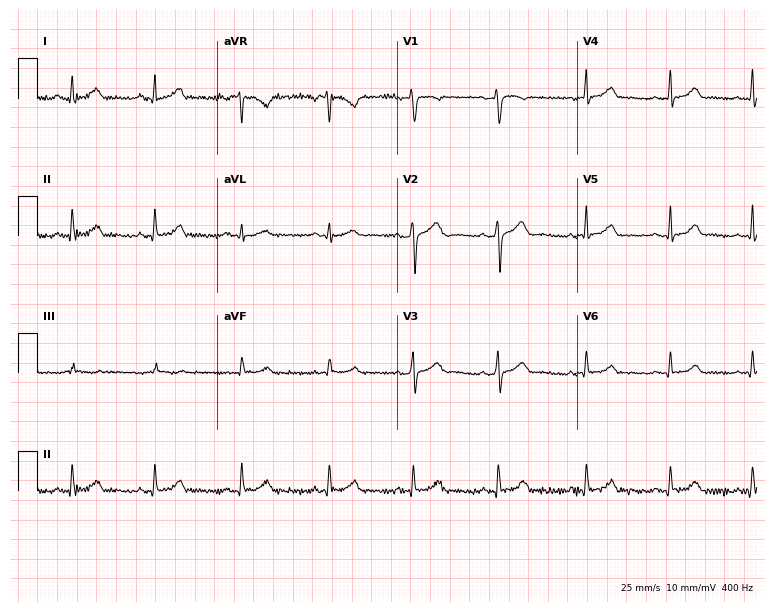
12-lead ECG (7.3-second recording at 400 Hz) from a woman, 42 years old. Labelled as a normal ECG.